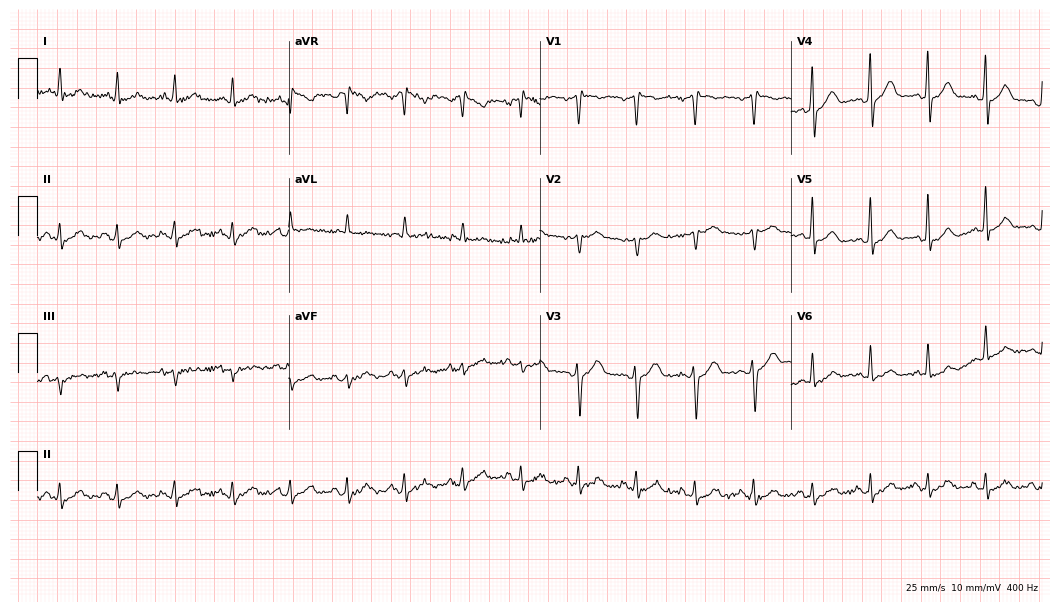
Resting 12-lead electrocardiogram. Patient: a 66-year-old male. None of these six findings is recorded: first-degree AV block, right bundle branch block (RBBB), left bundle branch block (LBBB), sinus bradycardia, atrial fibrillation (AF), sinus tachycardia.